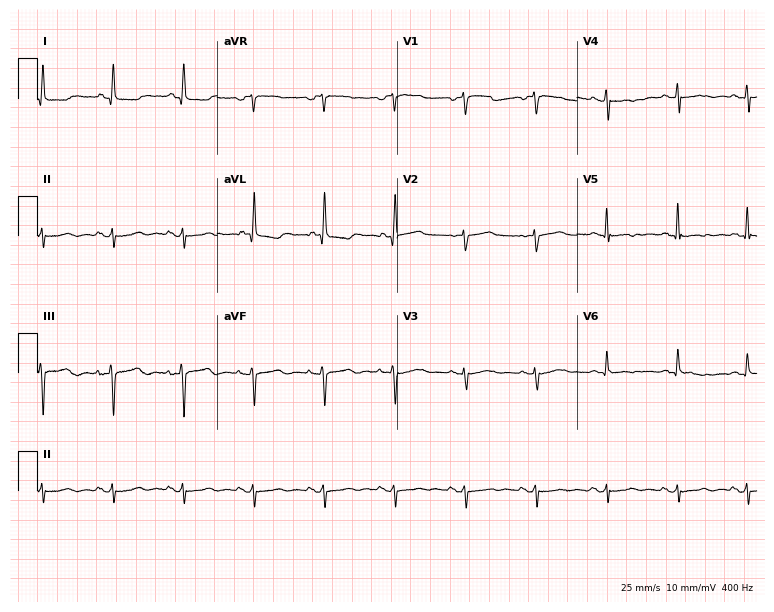
12-lead ECG (7.3-second recording at 400 Hz) from a 78-year-old woman. Screened for six findings — first-degree AV block, right bundle branch block (RBBB), left bundle branch block (LBBB), sinus bradycardia, atrial fibrillation (AF), sinus tachycardia — none is recorded.